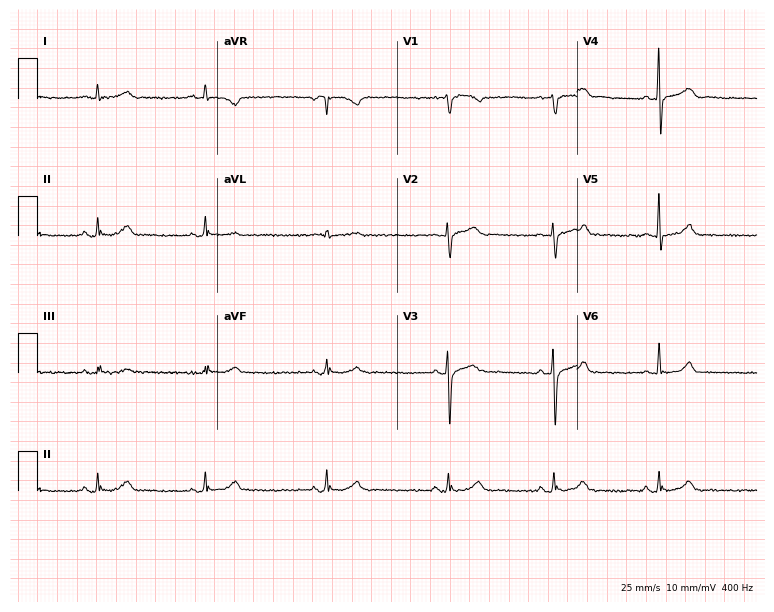
ECG — a 61-year-old woman. Findings include sinus bradycardia (a sinus rate of 50 beats per minute or less).